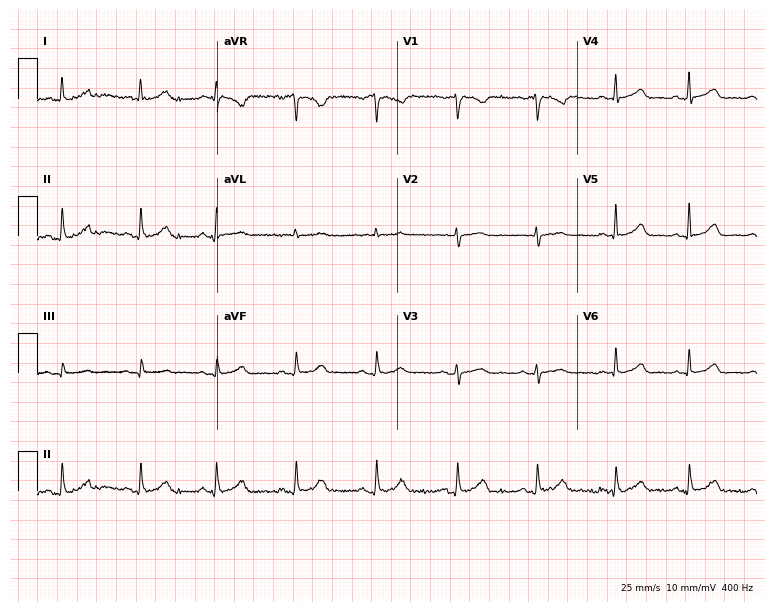
12-lead ECG from a woman, 39 years old. Labelled as a normal ECG.